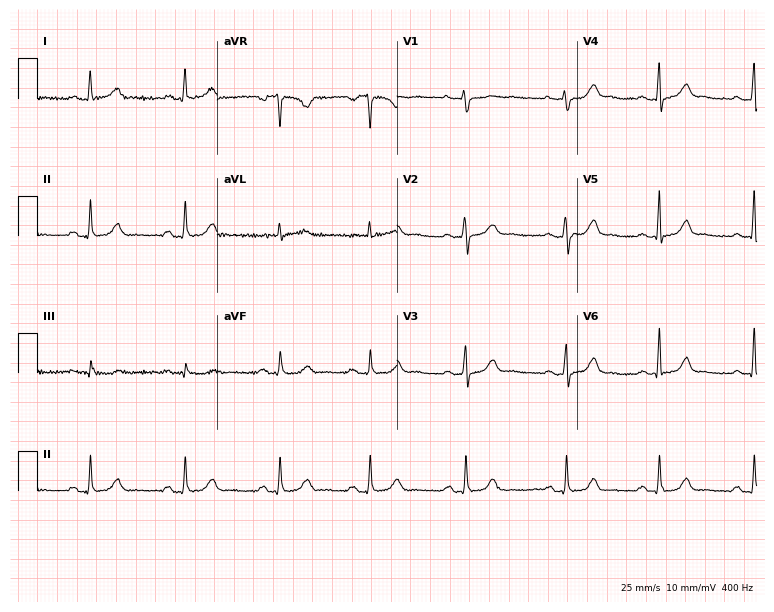
ECG — a female, 27 years old. Labelled as a normal ECG.